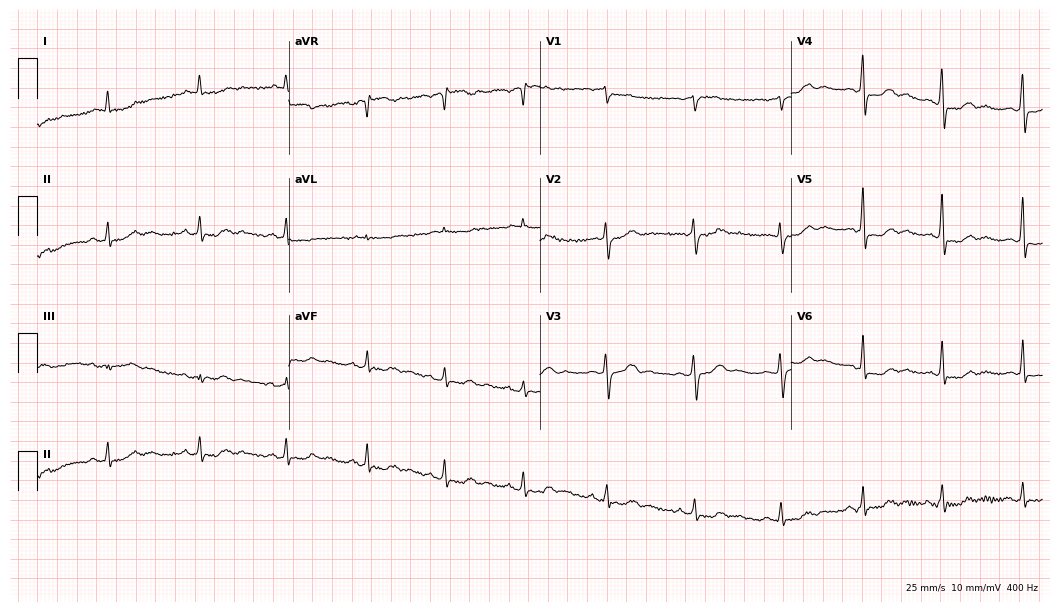
12-lead ECG from a man, 63 years old. No first-degree AV block, right bundle branch block (RBBB), left bundle branch block (LBBB), sinus bradycardia, atrial fibrillation (AF) or sinus tachycardia recorded for this tracing.